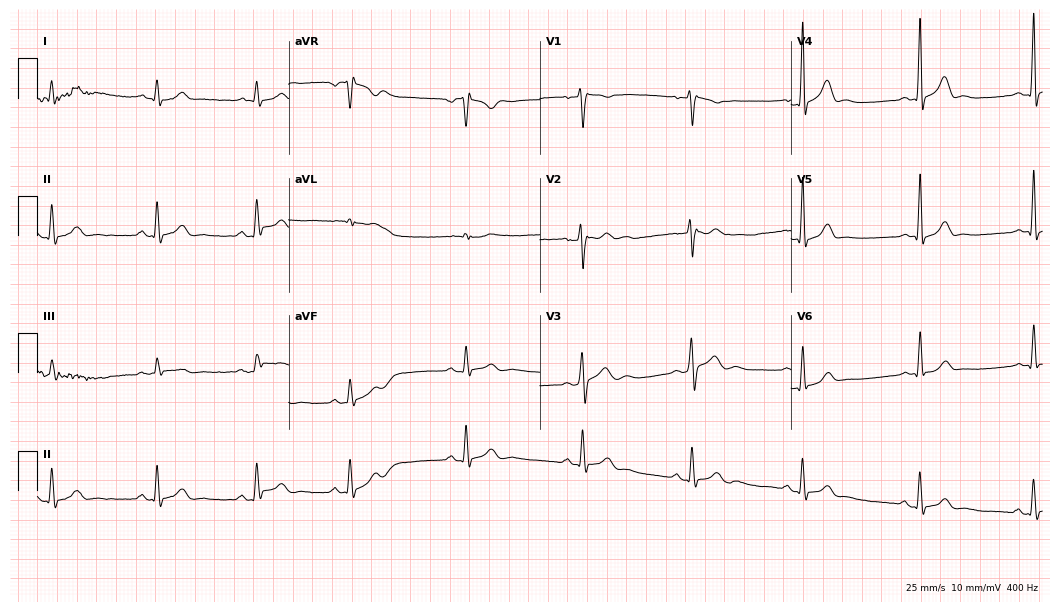
ECG — a 21-year-old male patient. Screened for six findings — first-degree AV block, right bundle branch block, left bundle branch block, sinus bradycardia, atrial fibrillation, sinus tachycardia — none is recorded. Other findings, if any, are not listed.